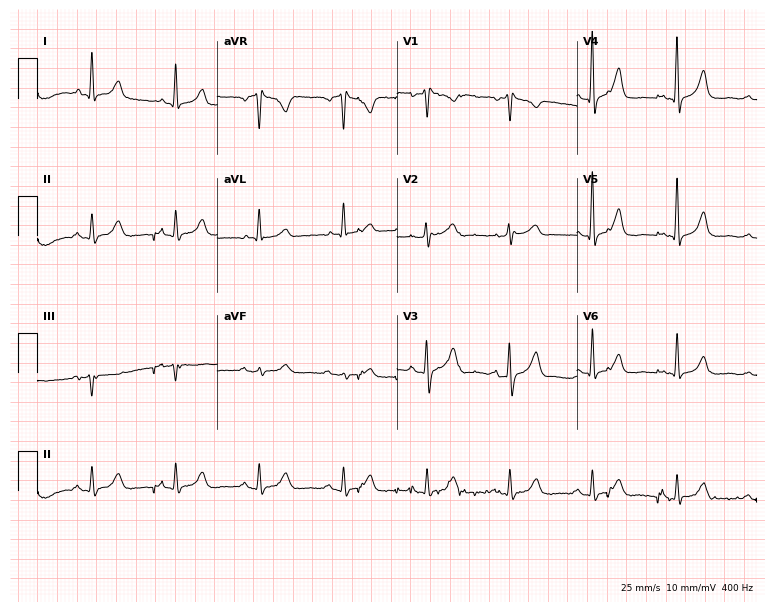
Electrocardiogram, a 62-year-old male. Of the six screened findings (first-degree AV block, right bundle branch block, left bundle branch block, sinus bradycardia, atrial fibrillation, sinus tachycardia), none is recorded. Other findings, if any, are not listed.